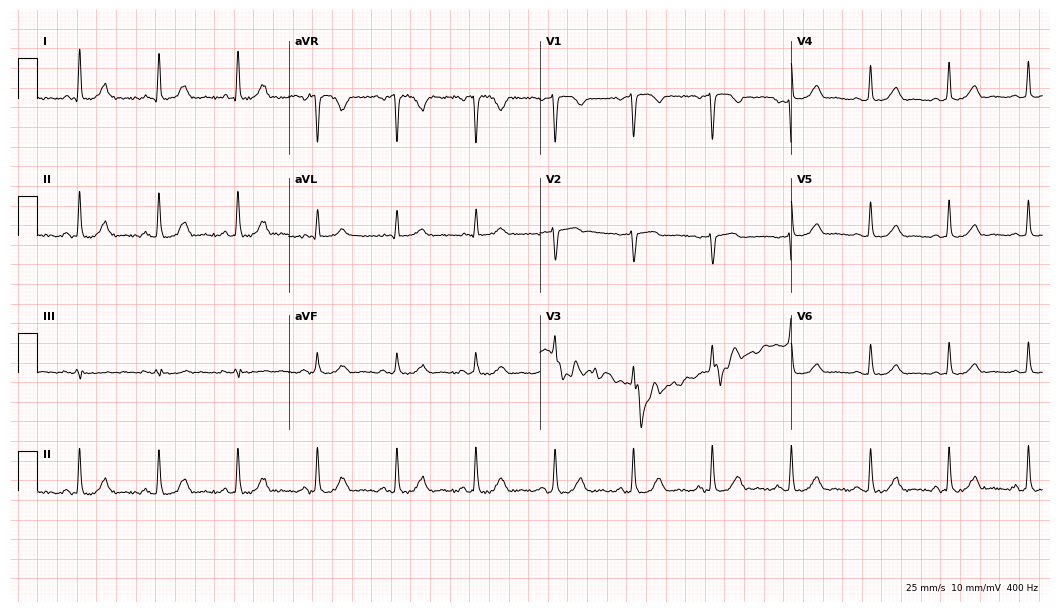
Standard 12-lead ECG recorded from a woman, 59 years old (10.2-second recording at 400 Hz). Read as a normal ECG.